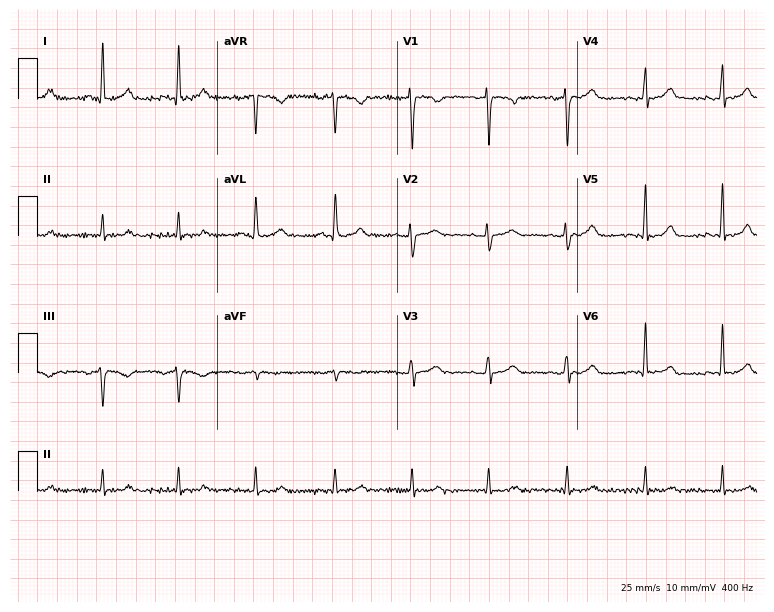
Standard 12-lead ECG recorded from a 48-year-old female patient. None of these six findings is recorded: first-degree AV block, right bundle branch block, left bundle branch block, sinus bradycardia, atrial fibrillation, sinus tachycardia. Other findings, if any, are not listed.